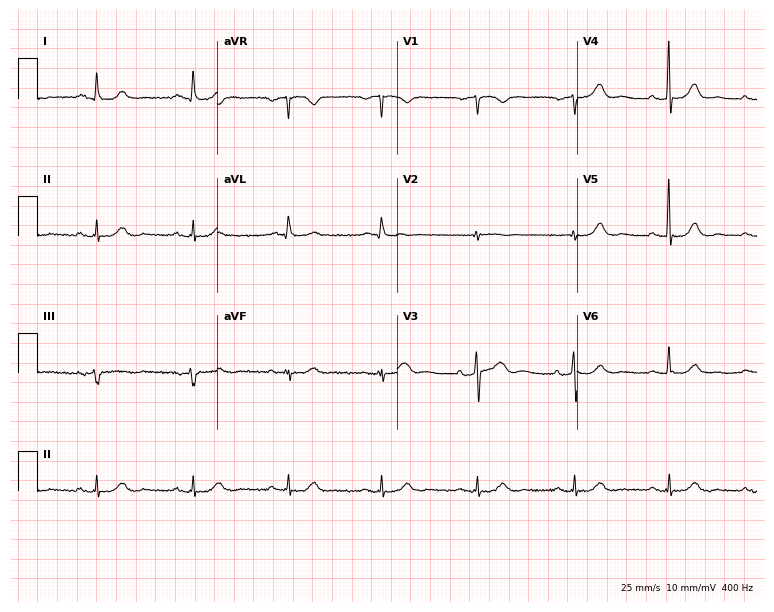
Electrocardiogram (7.3-second recording at 400 Hz), a 66-year-old female patient. Overall reading on record: normal ECG.